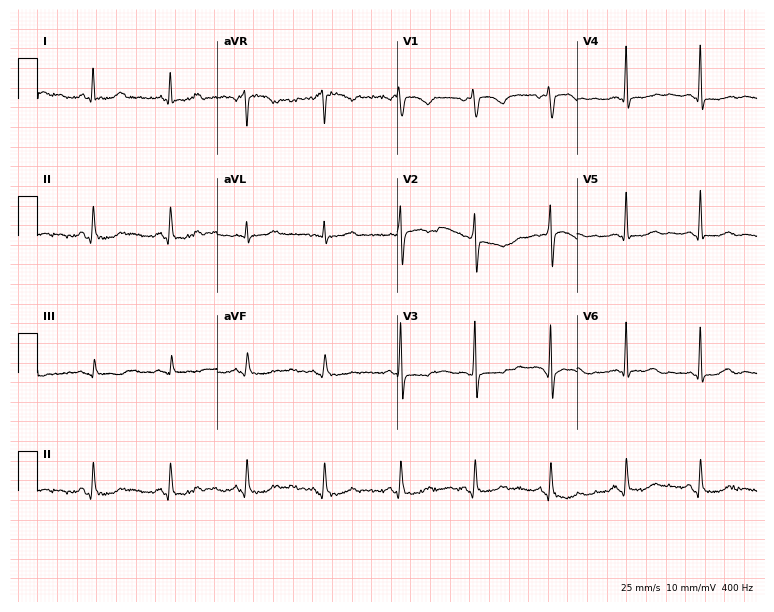
12-lead ECG from a 56-year-old woman (7.3-second recording at 400 Hz). No first-degree AV block, right bundle branch block (RBBB), left bundle branch block (LBBB), sinus bradycardia, atrial fibrillation (AF) or sinus tachycardia recorded for this tracing.